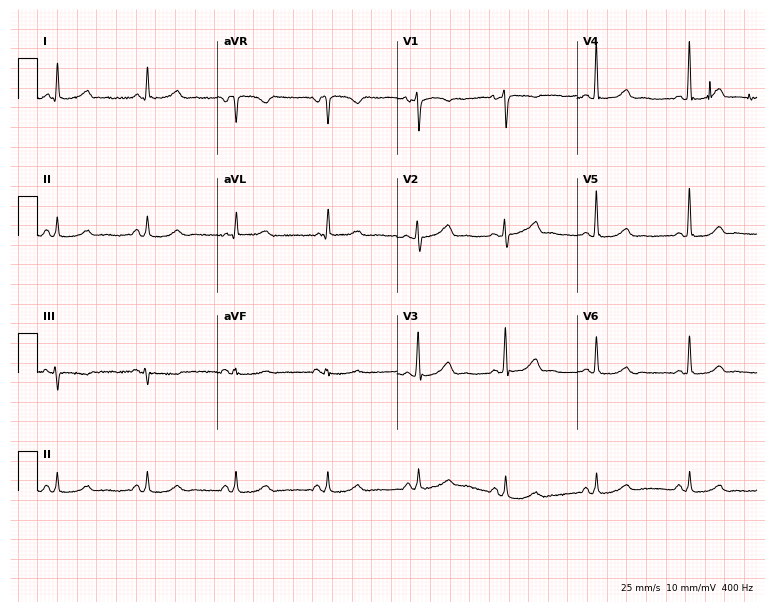
Standard 12-lead ECG recorded from a 49-year-old female (7.3-second recording at 400 Hz). Read as a normal ECG.